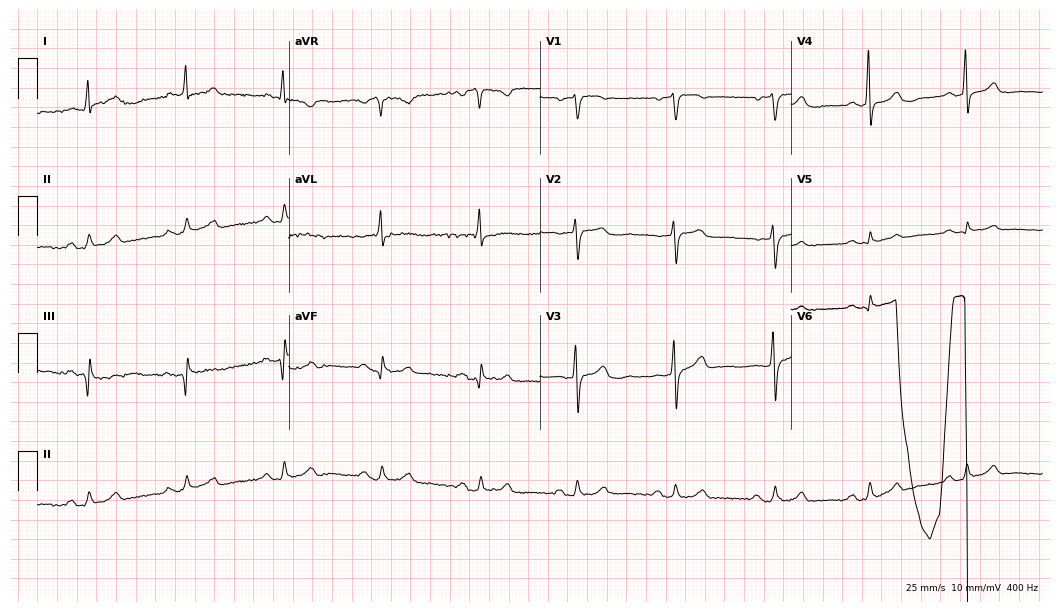
12-lead ECG (10.2-second recording at 400 Hz) from a female patient, 75 years old. Screened for six findings — first-degree AV block, right bundle branch block, left bundle branch block, sinus bradycardia, atrial fibrillation, sinus tachycardia — none is recorded.